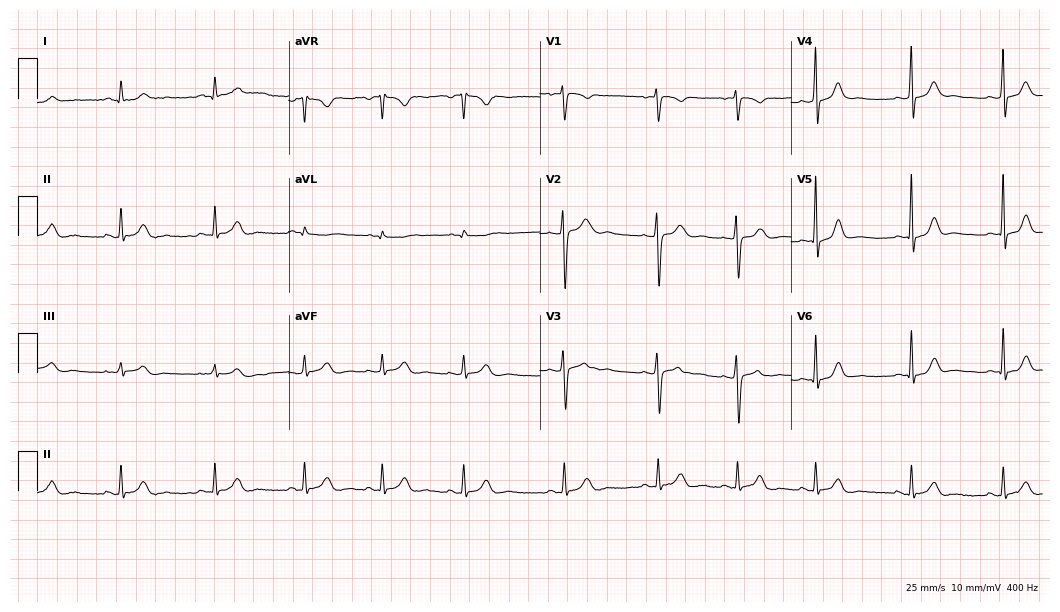
Electrocardiogram (10.2-second recording at 400 Hz), a female, 21 years old. Overall reading on record: normal ECG.